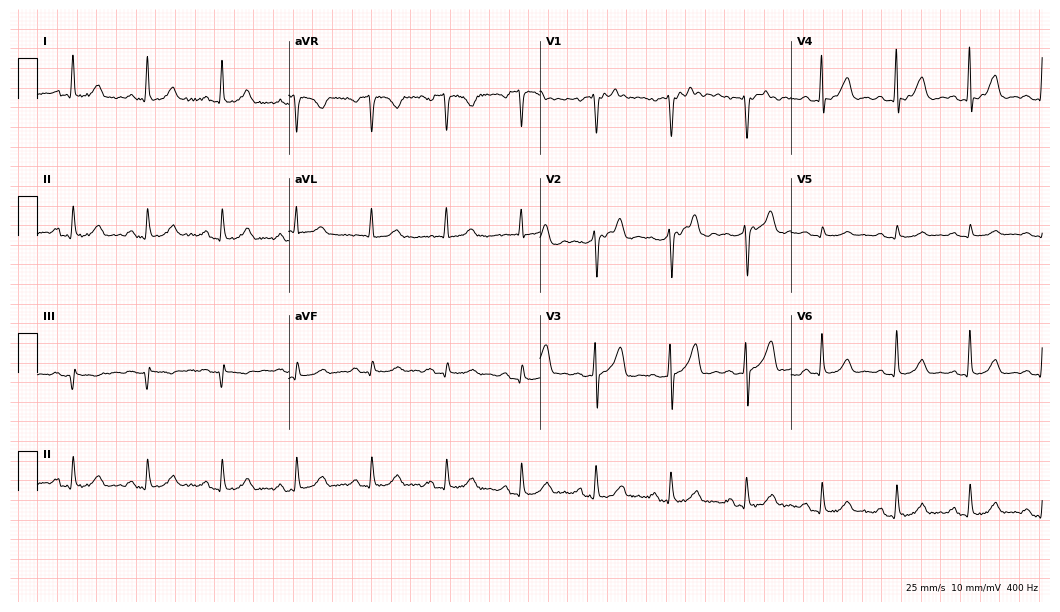
ECG — a woman, 61 years old. Labelled as a normal ECG.